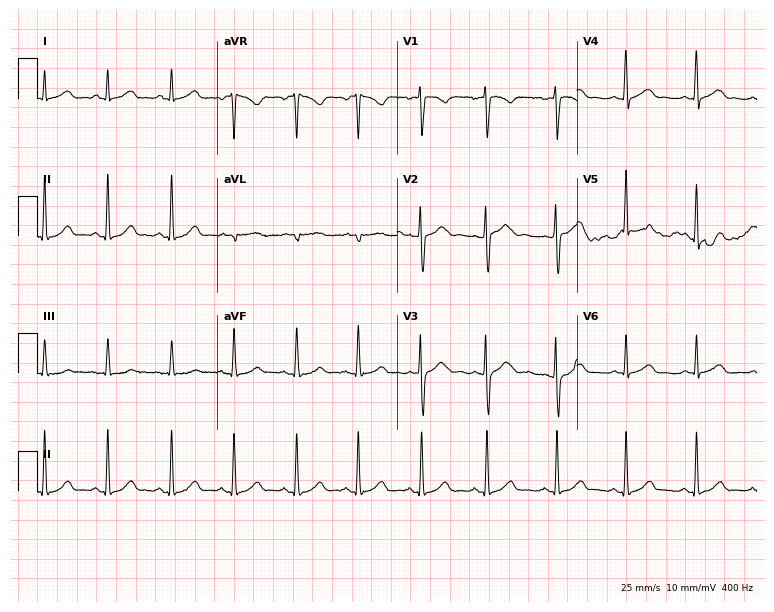
12-lead ECG (7.3-second recording at 400 Hz) from a female patient, 26 years old. Labelled as a normal ECG.